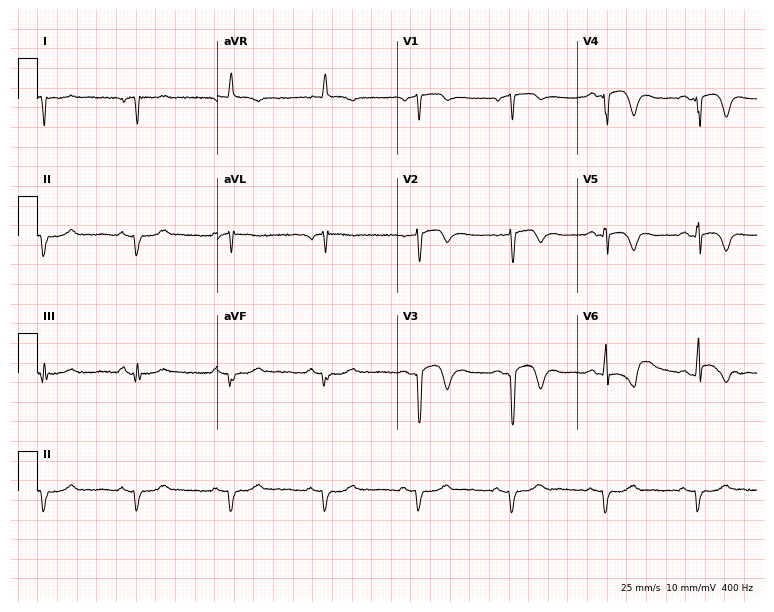
Resting 12-lead electrocardiogram. Patient: a male, 71 years old. None of these six findings is recorded: first-degree AV block, right bundle branch block (RBBB), left bundle branch block (LBBB), sinus bradycardia, atrial fibrillation (AF), sinus tachycardia. Only these six findings were labelled.